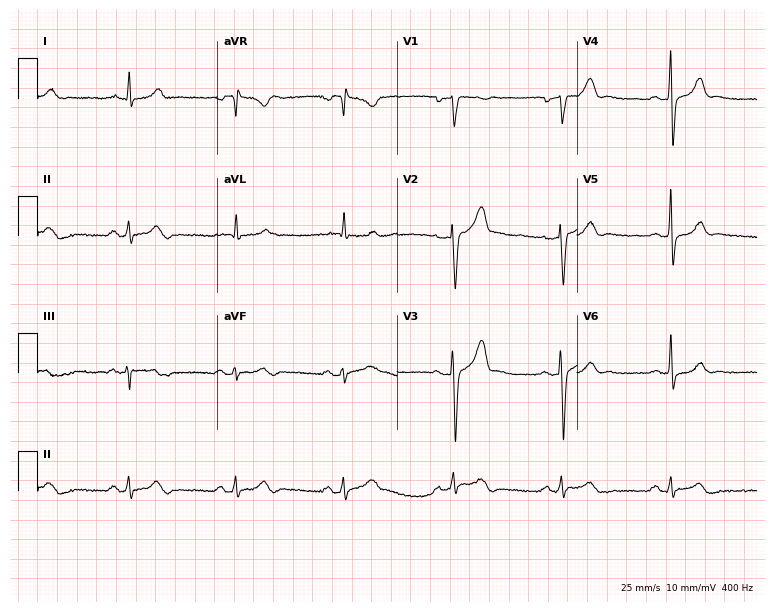
Standard 12-lead ECG recorded from a 53-year-old male (7.3-second recording at 400 Hz). None of these six findings is recorded: first-degree AV block, right bundle branch block, left bundle branch block, sinus bradycardia, atrial fibrillation, sinus tachycardia.